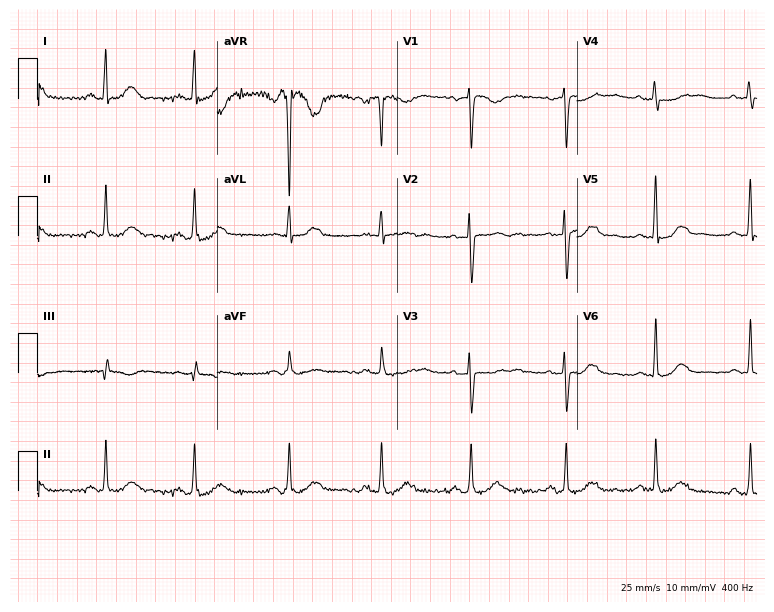
Resting 12-lead electrocardiogram. Patient: a 44-year-old female. None of these six findings is recorded: first-degree AV block, right bundle branch block, left bundle branch block, sinus bradycardia, atrial fibrillation, sinus tachycardia. Only these six findings were labelled.